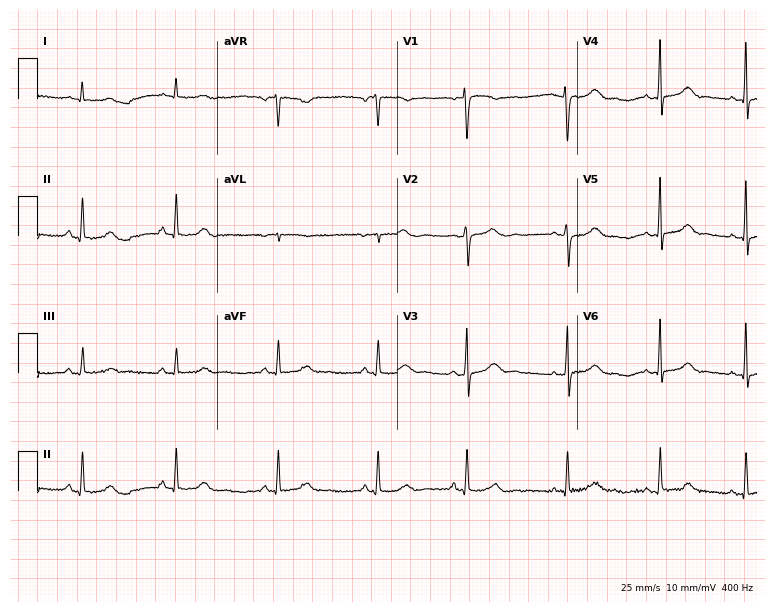
Resting 12-lead electrocardiogram. Patient: an 18-year-old woman. Read as a normal ECG.